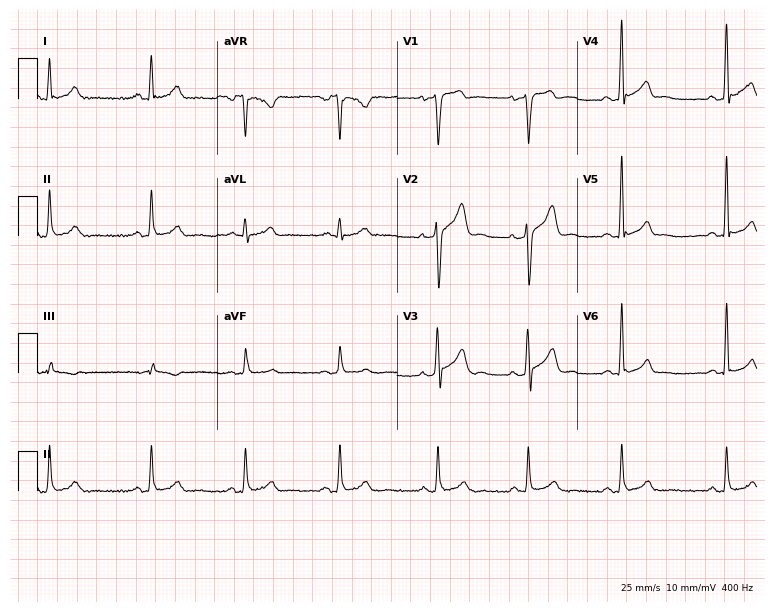
ECG (7.3-second recording at 400 Hz) — a male patient, 42 years old. Screened for six findings — first-degree AV block, right bundle branch block, left bundle branch block, sinus bradycardia, atrial fibrillation, sinus tachycardia — none is recorded. Only these six findings were labelled.